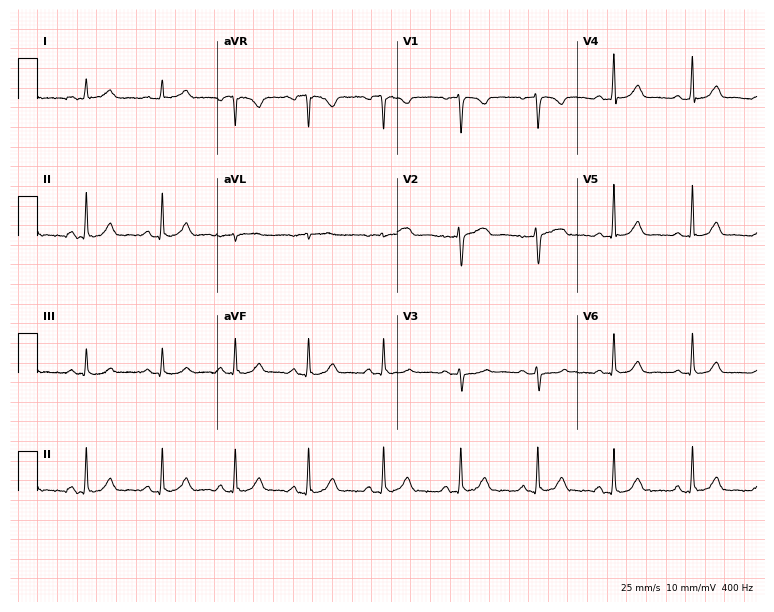
Electrocardiogram (7.3-second recording at 400 Hz), a female, 44 years old. Overall reading on record: normal ECG.